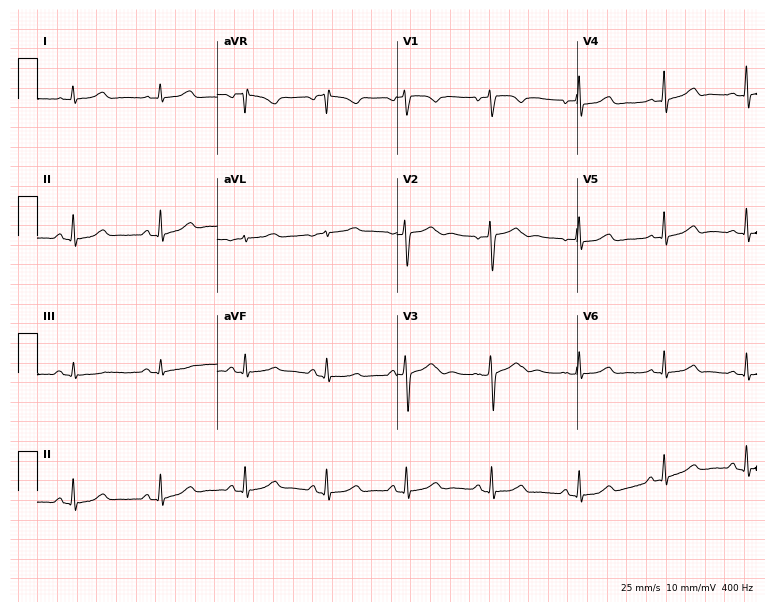
Standard 12-lead ECG recorded from a 41-year-old female (7.3-second recording at 400 Hz). None of these six findings is recorded: first-degree AV block, right bundle branch block, left bundle branch block, sinus bradycardia, atrial fibrillation, sinus tachycardia. Only these six findings were labelled.